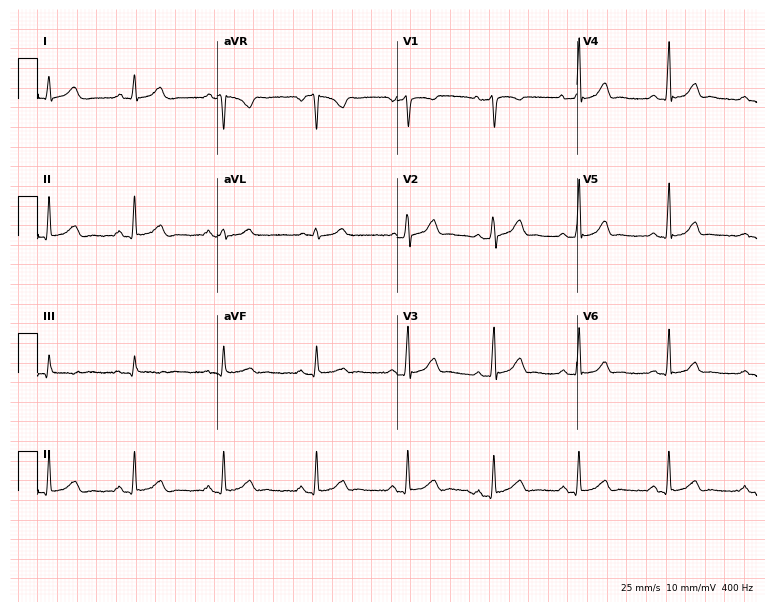
ECG — a woman, 35 years old. Screened for six findings — first-degree AV block, right bundle branch block, left bundle branch block, sinus bradycardia, atrial fibrillation, sinus tachycardia — none is recorded. Only these six findings were labelled.